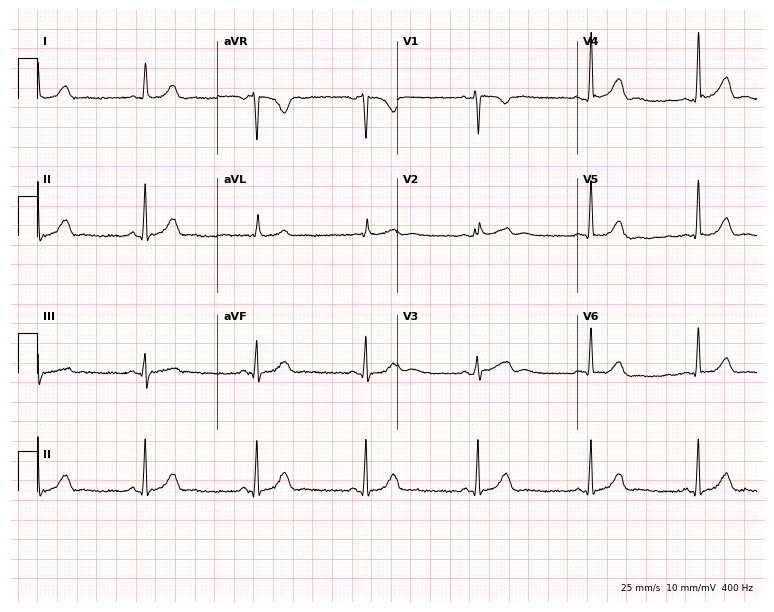
ECG (7.3-second recording at 400 Hz) — a female patient, 47 years old. Labelled as a normal ECG.